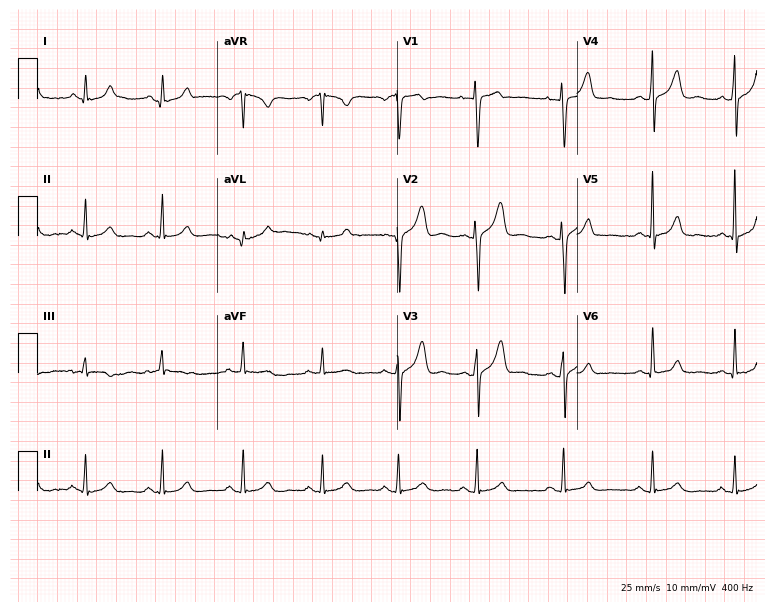
Standard 12-lead ECG recorded from a 23-year-old woman. Read as a normal ECG.